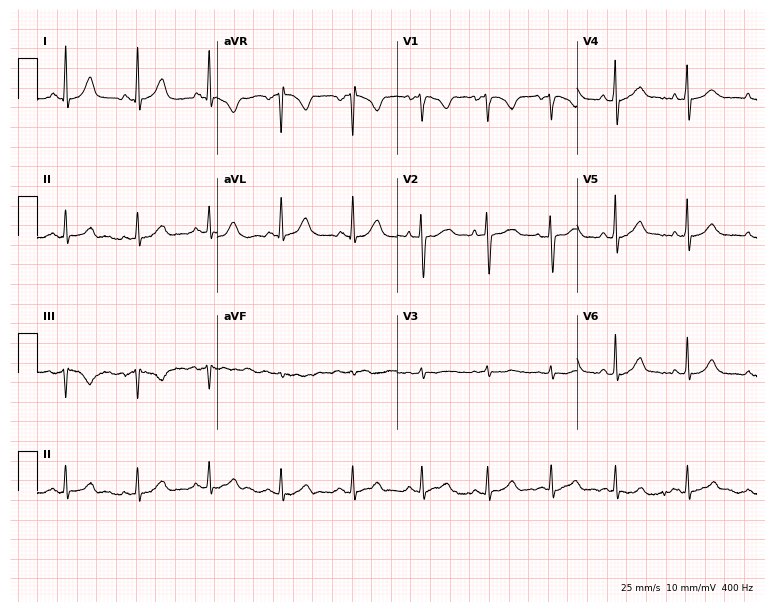
Standard 12-lead ECG recorded from a 28-year-old woman. Read as a normal ECG.